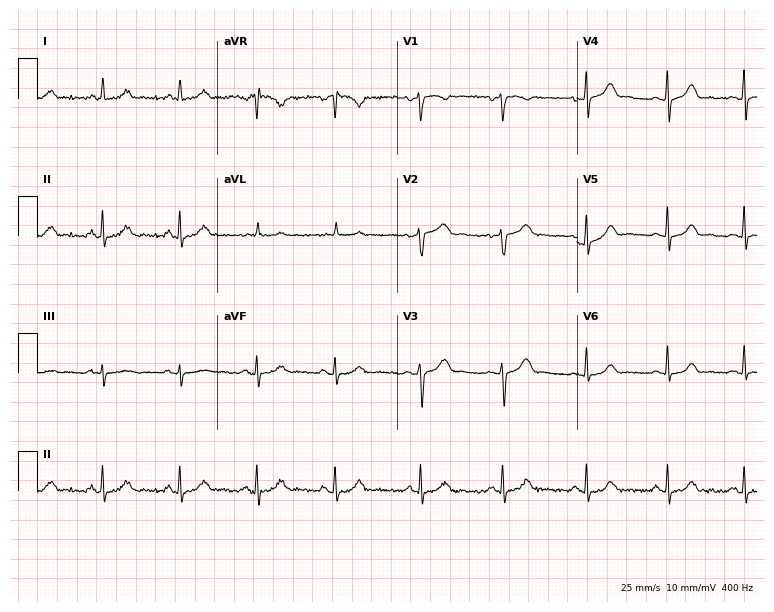
Standard 12-lead ECG recorded from a woman, 36 years old (7.3-second recording at 400 Hz). Read as a normal ECG.